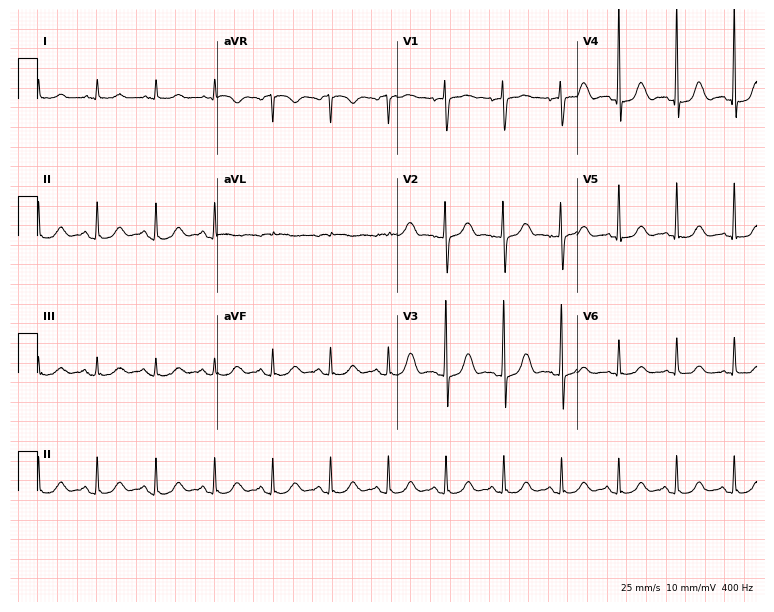
12-lead ECG from a 56-year-old female patient. Labelled as a normal ECG.